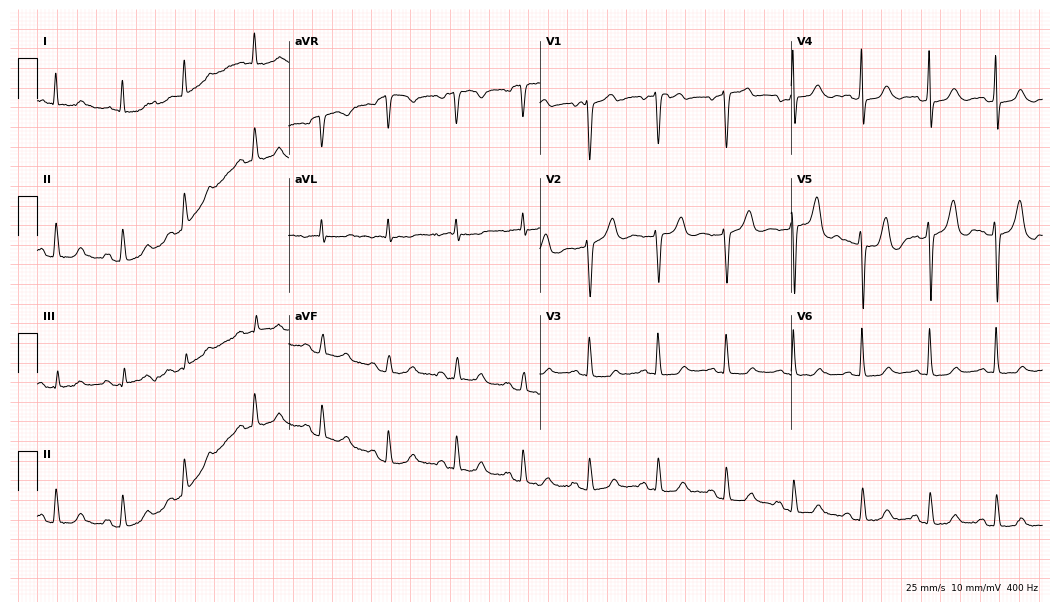
ECG (10.2-second recording at 400 Hz) — a female, 85 years old. Labelled as a normal ECG.